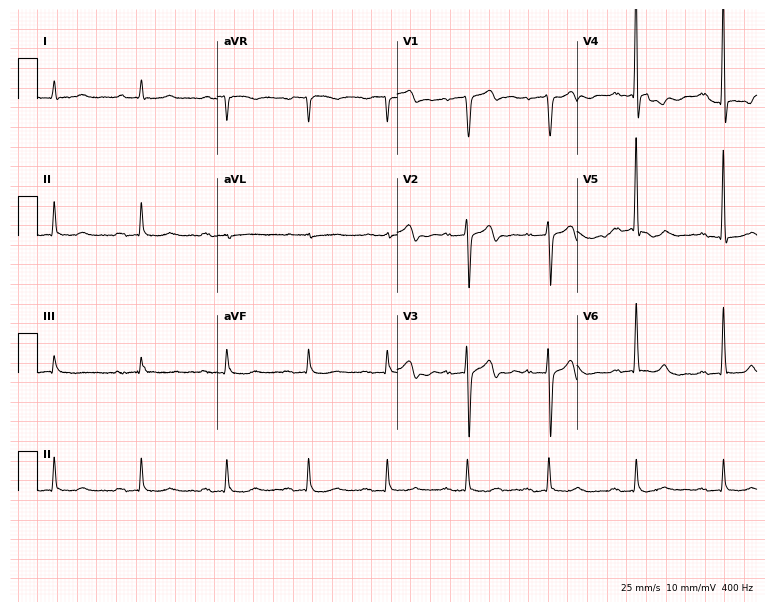
12-lead ECG (7.3-second recording at 400 Hz) from an 85-year-old man. Findings include first-degree AV block.